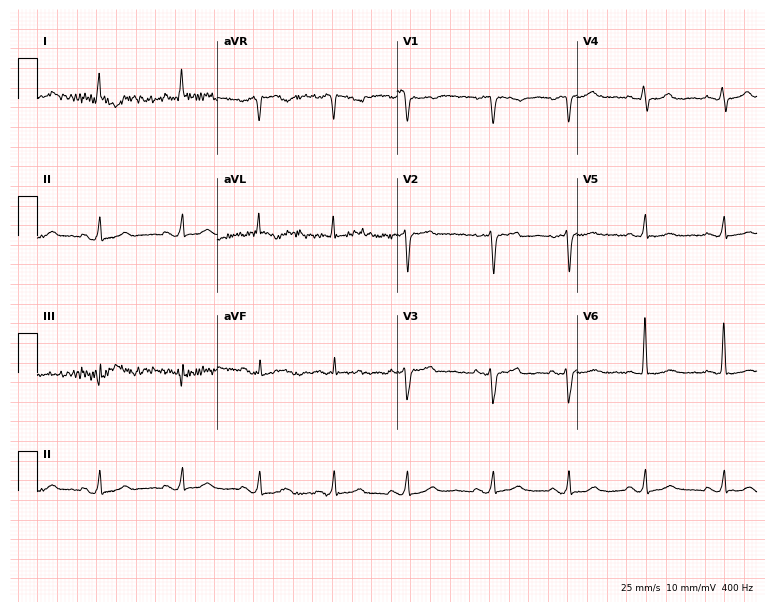
ECG (7.3-second recording at 400 Hz) — a female, 39 years old. Screened for six findings — first-degree AV block, right bundle branch block, left bundle branch block, sinus bradycardia, atrial fibrillation, sinus tachycardia — none is recorded. Only these six findings were labelled.